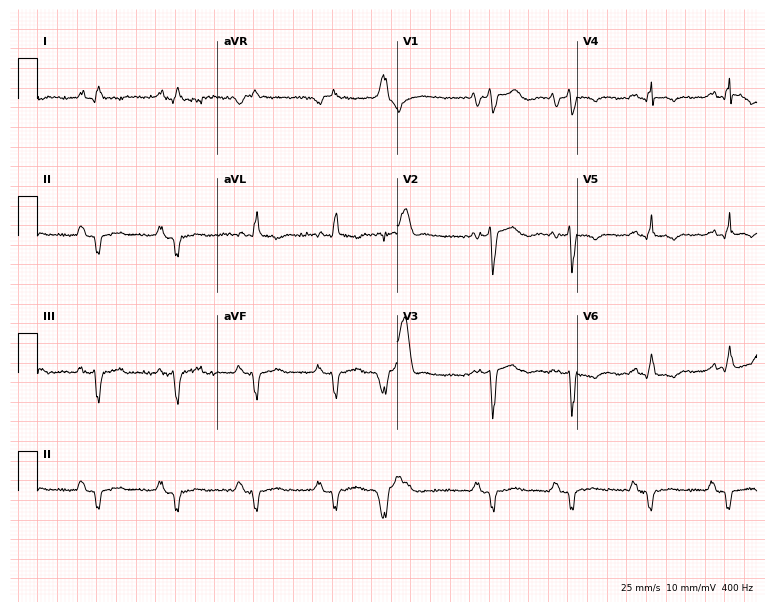
Electrocardiogram, a 75-year-old male patient. Of the six screened findings (first-degree AV block, right bundle branch block (RBBB), left bundle branch block (LBBB), sinus bradycardia, atrial fibrillation (AF), sinus tachycardia), none is recorded.